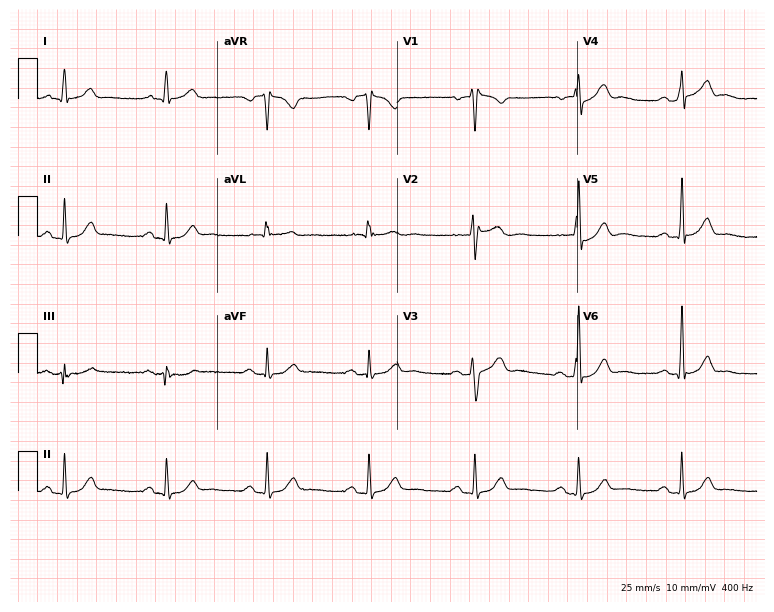
Standard 12-lead ECG recorded from a 58-year-old man. The tracing shows first-degree AV block.